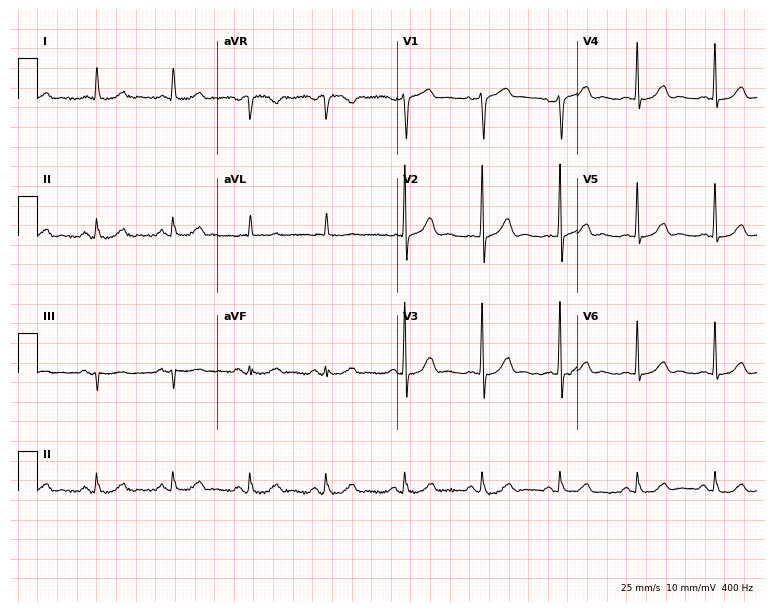
Electrocardiogram, a 65-year-old male. Of the six screened findings (first-degree AV block, right bundle branch block (RBBB), left bundle branch block (LBBB), sinus bradycardia, atrial fibrillation (AF), sinus tachycardia), none is recorded.